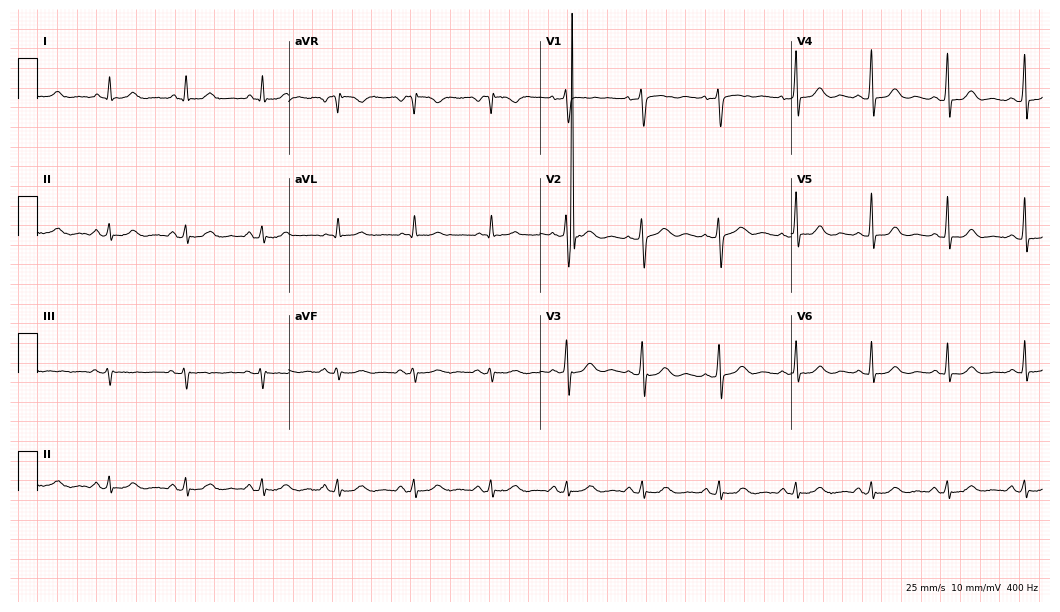
ECG (10.2-second recording at 400 Hz) — a woman, 52 years old. Labelled as a normal ECG.